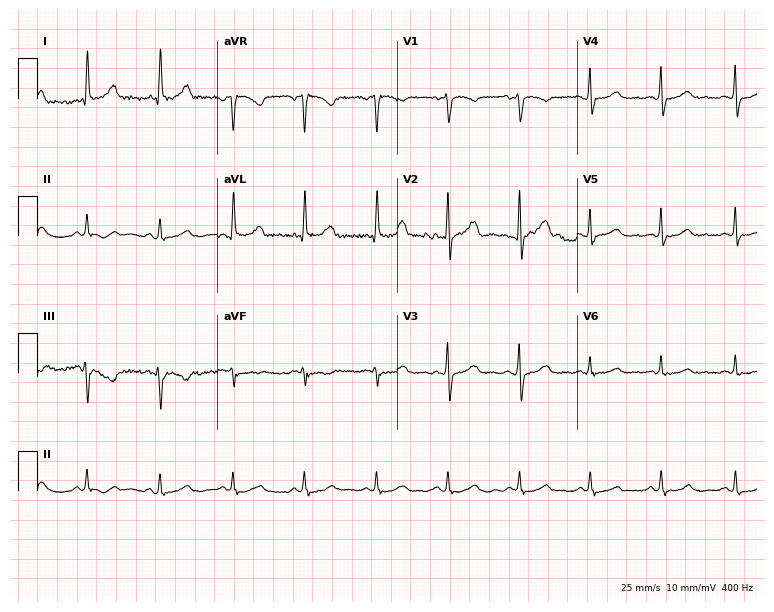
ECG — a 43-year-old female. Labelled as a normal ECG.